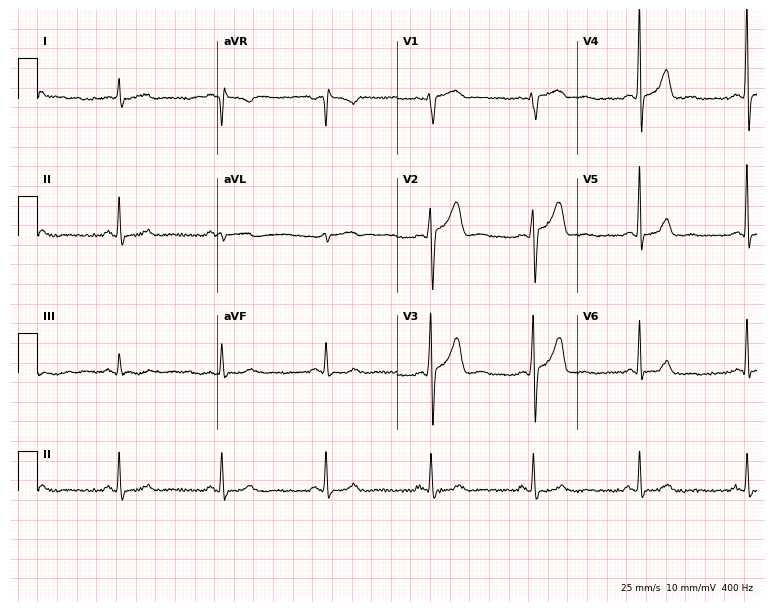
12-lead ECG from a man, 45 years old. Screened for six findings — first-degree AV block, right bundle branch block (RBBB), left bundle branch block (LBBB), sinus bradycardia, atrial fibrillation (AF), sinus tachycardia — none is recorded. Findings outside these six are not listed.